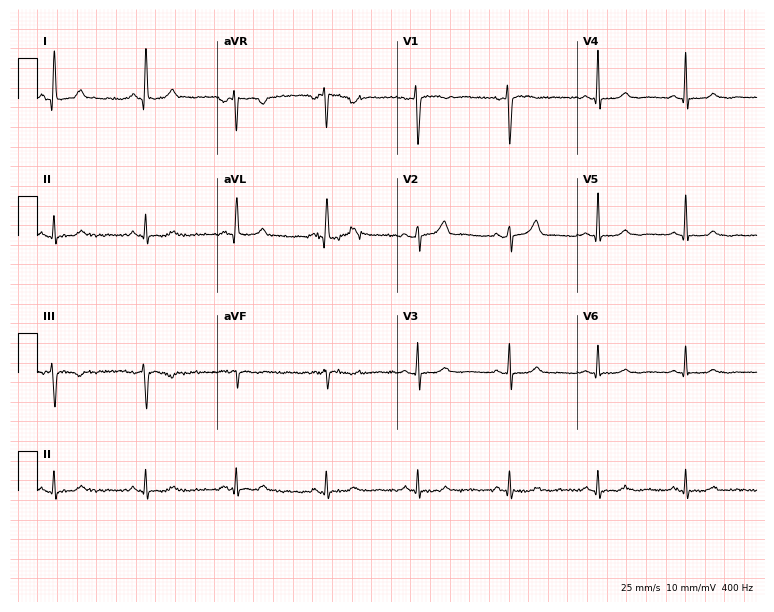
Resting 12-lead electrocardiogram (7.3-second recording at 400 Hz). Patient: a female, 50 years old. None of these six findings is recorded: first-degree AV block, right bundle branch block, left bundle branch block, sinus bradycardia, atrial fibrillation, sinus tachycardia.